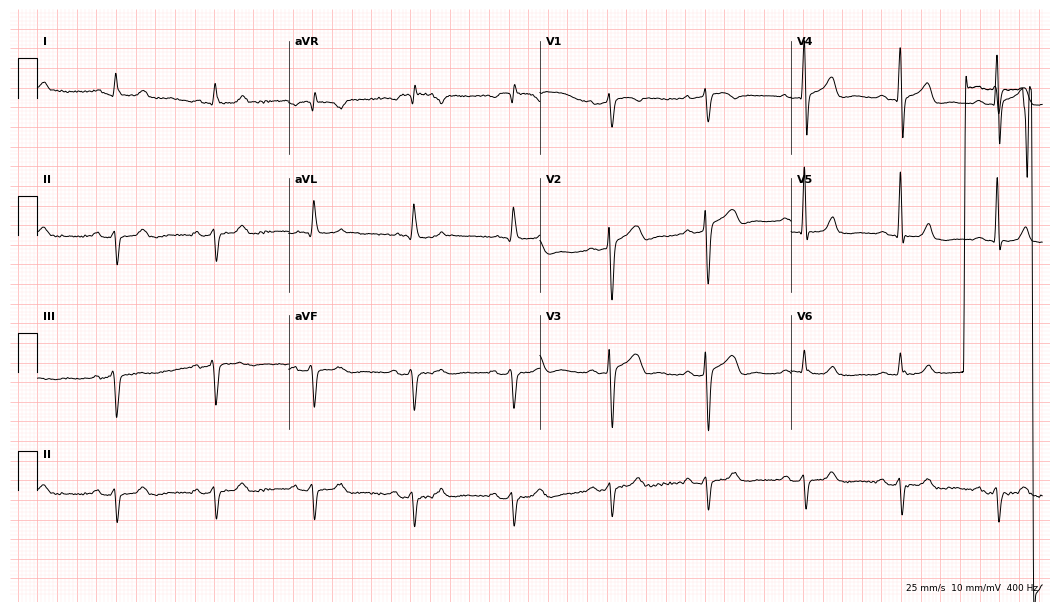
12-lead ECG from a 77-year-old male. Screened for six findings — first-degree AV block, right bundle branch block (RBBB), left bundle branch block (LBBB), sinus bradycardia, atrial fibrillation (AF), sinus tachycardia — none is recorded. Findings outside these six are not listed.